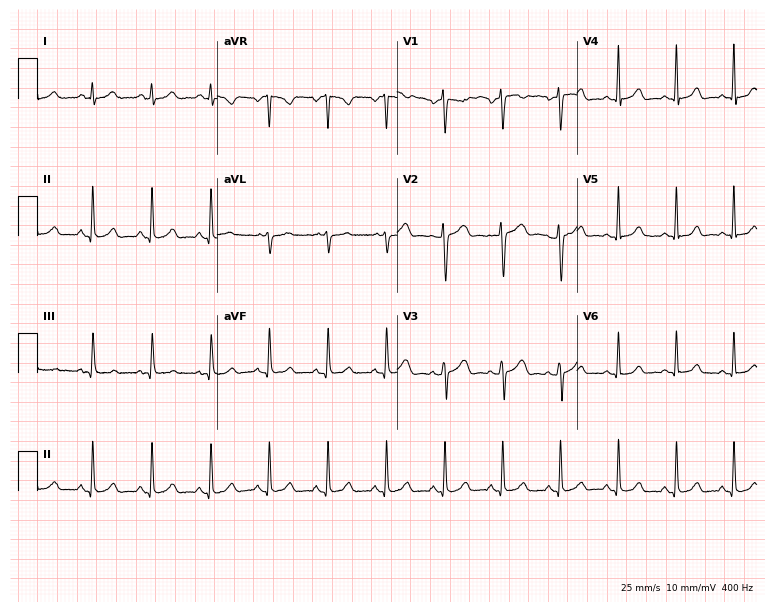
12-lead ECG from a female patient, 48 years old. Shows sinus tachycardia (a sinus rate of 100 beats per minute or more).